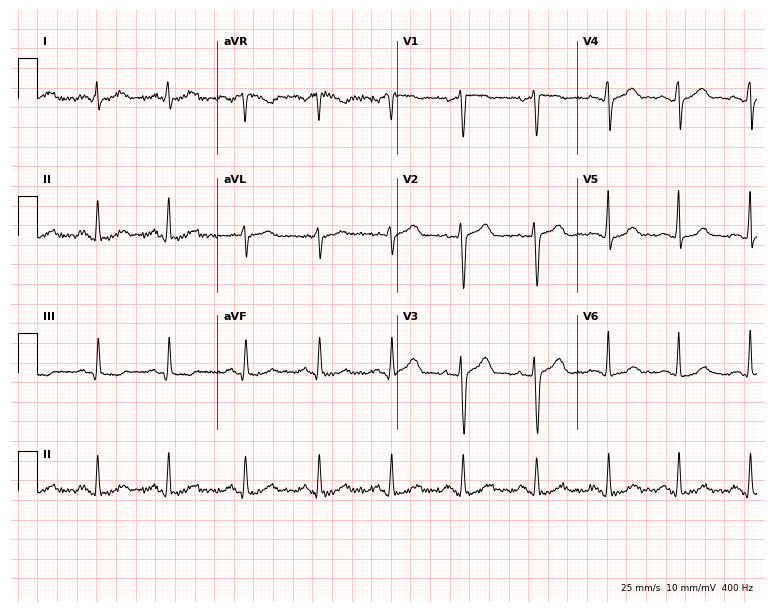
Standard 12-lead ECG recorded from a 45-year-old male patient (7.3-second recording at 400 Hz). Read as a normal ECG.